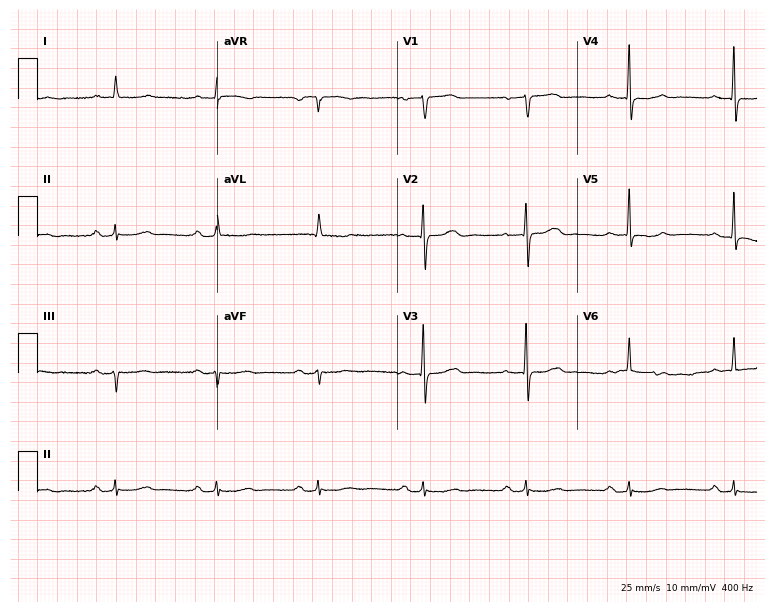
Standard 12-lead ECG recorded from a 72-year-old woman. The tracing shows first-degree AV block.